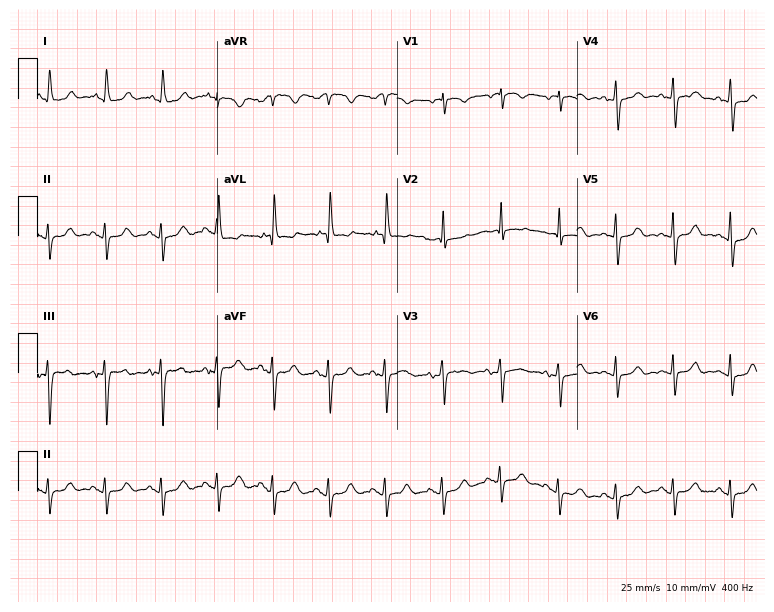
Standard 12-lead ECG recorded from a male patient, 84 years old. The tracing shows sinus tachycardia (a sinus rate of 100 beats per minute or more).